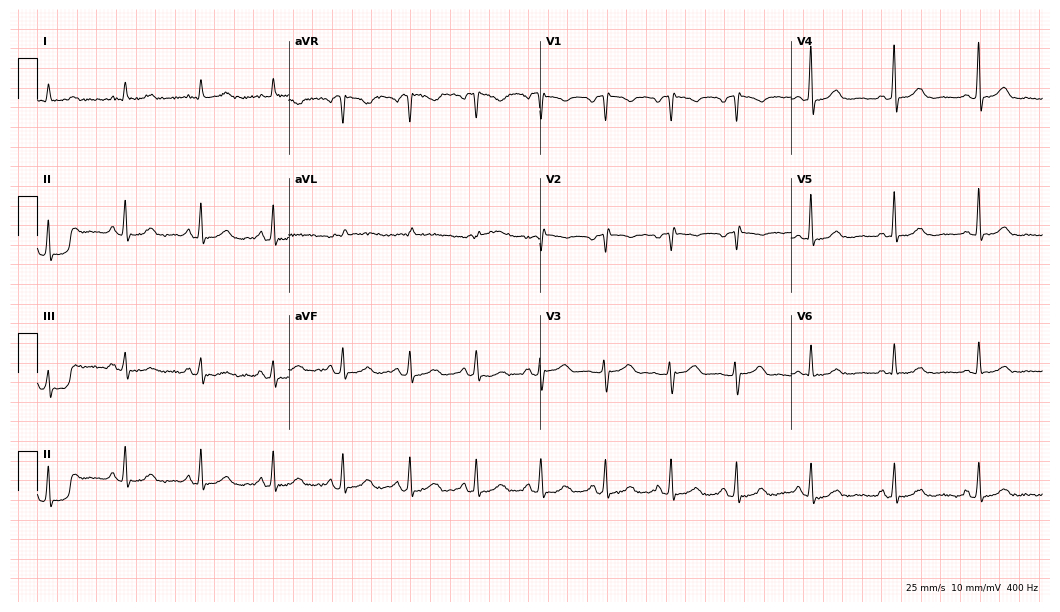
ECG (10.2-second recording at 400 Hz) — a female, 44 years old. Screened for six findings — first-degree AV block, right bundle branch block, left bundle branch block, sinus bradycardia, atrial fibrillation, sinus tachycardia — none is recorded. Only these six findings were labelled.